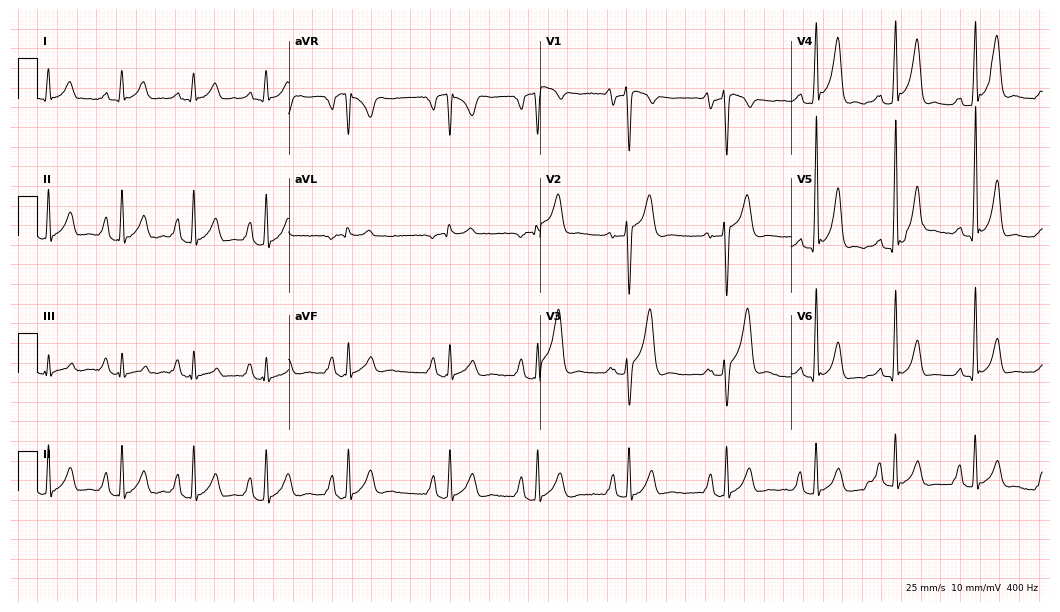
Standard 12-lead ECG recorded from a male, 20 years old. None of these six findings is recorded: first-degree AV block, right bundle branch block, left bundle branch block, sinus bradycardia, atrial fibrillation, sinus tachycardia. Only these six findings were labelled.